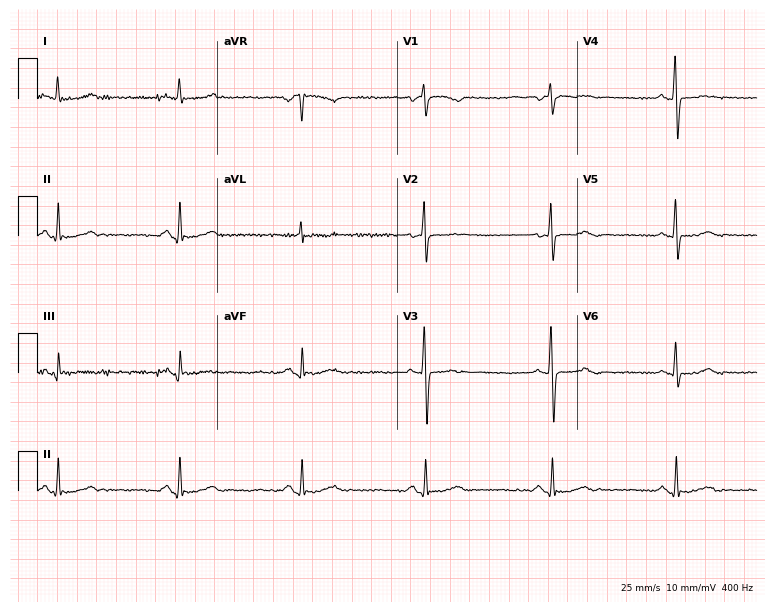
Standard 12-lead ECG recorded from a 56-year-old male. The tracing shows sinus bradycardia (a sinus rate of 50 beats per minute or less).